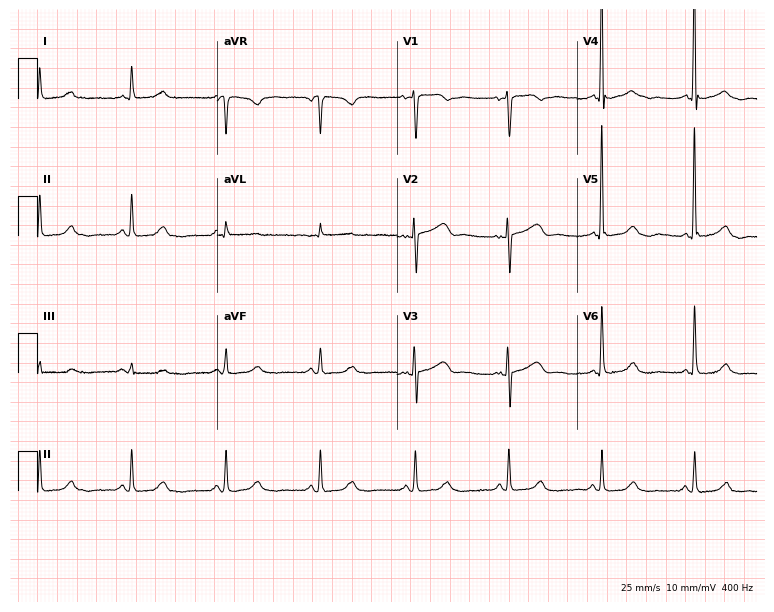
Standard 12-lead ECG recorded from a female patient, 81 years old (7.3-second recording at 400 Hz). None of these six findings is recorded: first-degree AV block, right bundle branch block (RBBB), left bundle branch block (LBBB), sinus bradycardia, atrial fibrillation (AF), sinus tachycardia. Other findings, if any, are not listed.